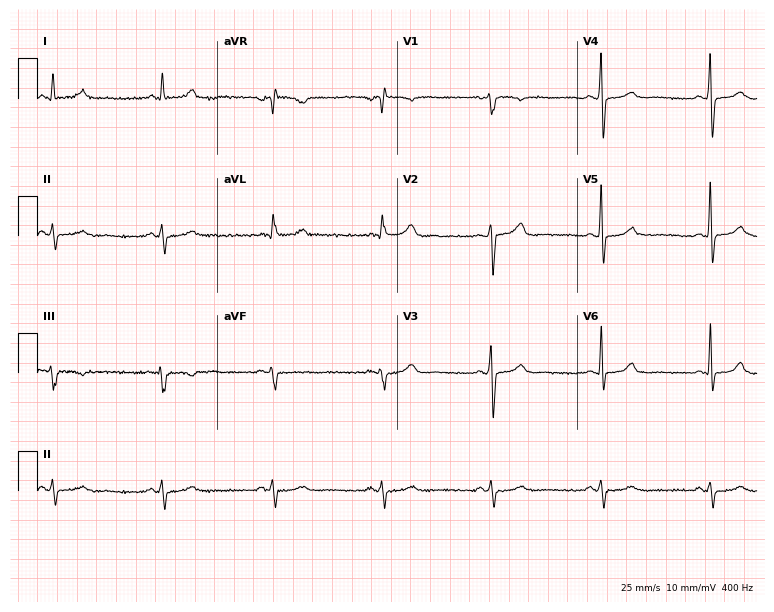
12-lead ECG from a male patient, 65 years old. No first-degree AV block, right bundle branch block (RBBB), left bundle branch block (LBBB), sinus bradycardia, atrial fibrillation (AF) or sinus tachycardia recorded for this tracing.